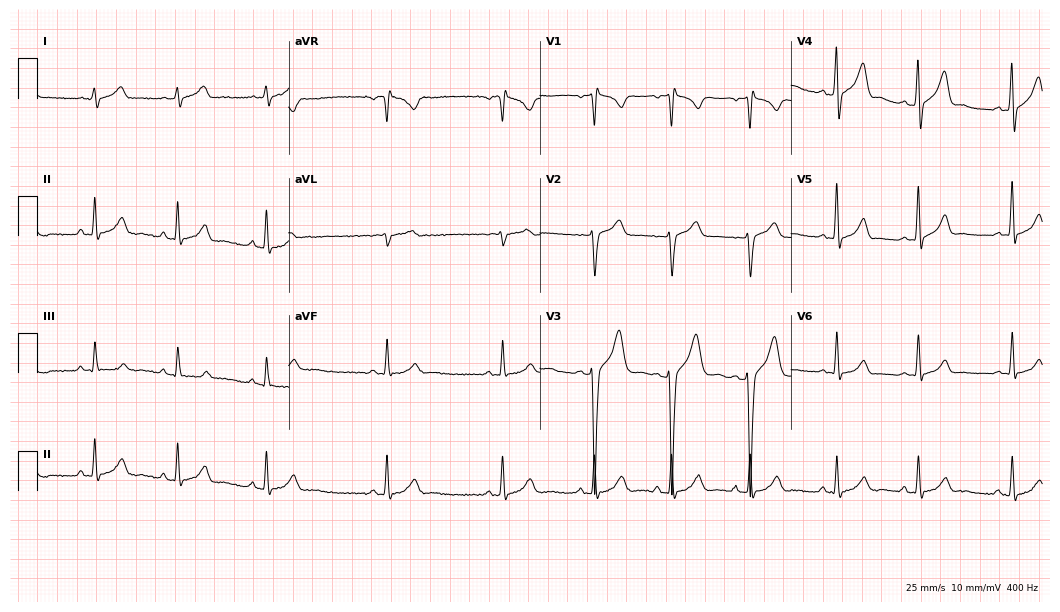
Standard 12-lead ECG recorded from a 28-year-old male (10.2-second recording at 400 Hz). Read as a normal ECG.